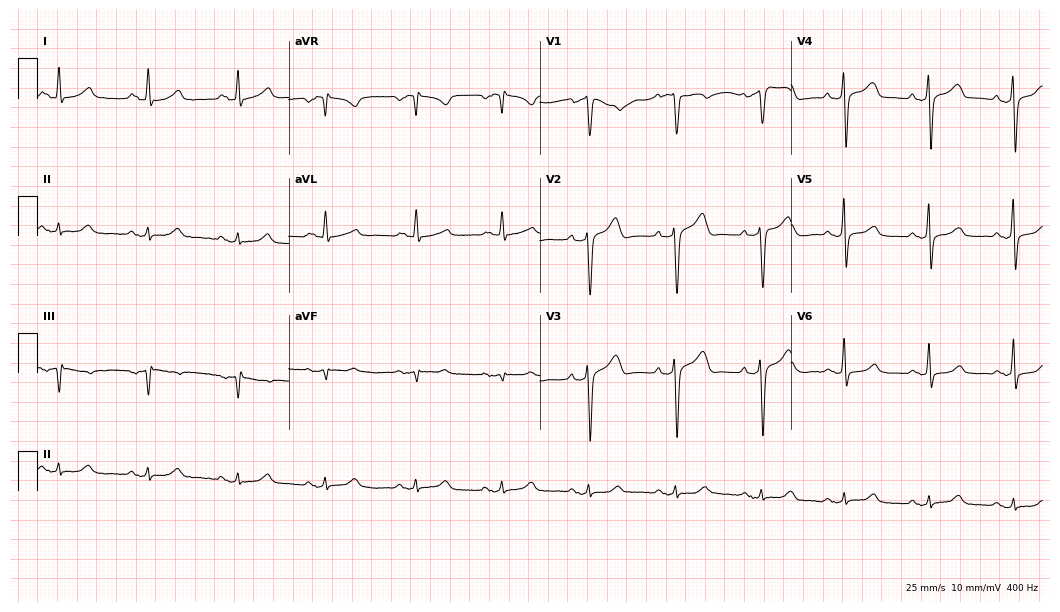
Resting 12-lead electrocardiogram. Patient: a 61-year-old male. None of these six findings is recorded: first-degree AV block, right bundle branch block, left bundle branch block, sinus bradycardia, atrial fibrillation, sinus tachycardia.